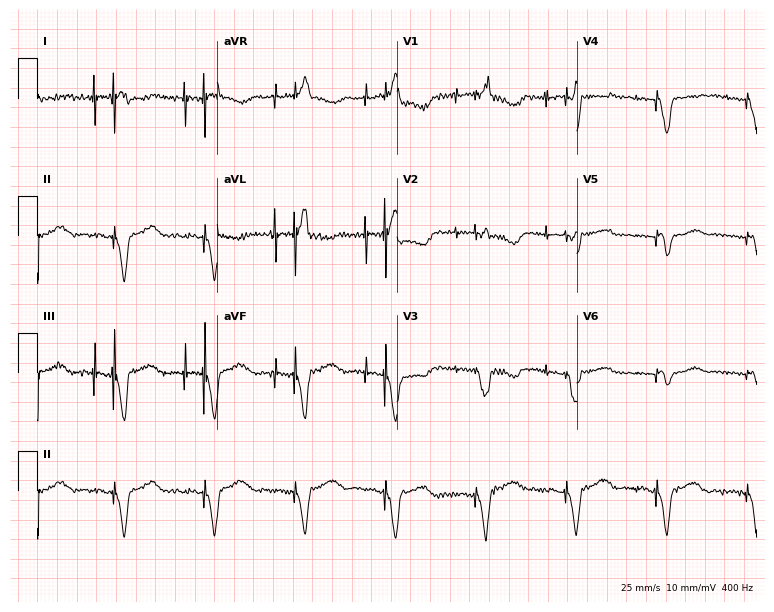
Standard 12-lead ECG recorded from an 80-year-old female (7.3-second recording at 400 Hz). None of these six findings is recorded: first-degree AV block, right bundle branch block, left bundle branch block, sinus bradycardia, atrial fibrillation, sinus tachycardia. Findings outside these six are not listed.